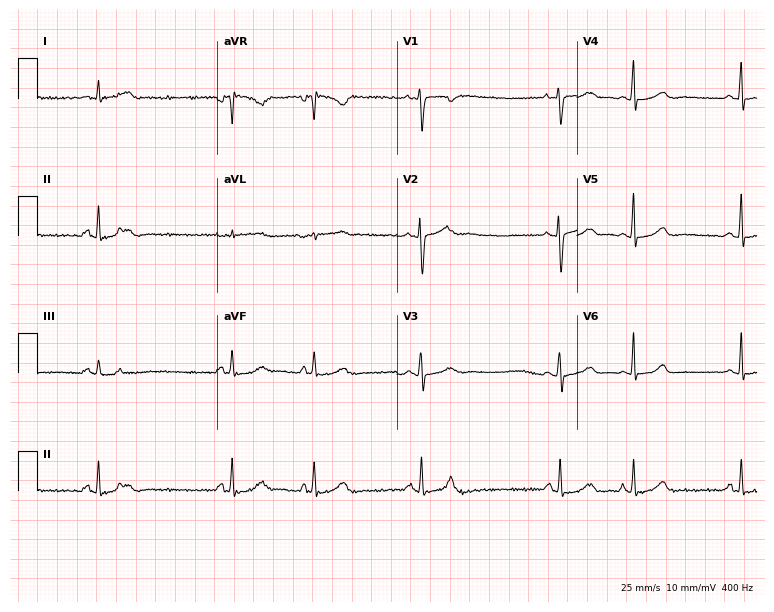
12-lead ECG (7.3-second recording at 400 Hz) from a female patient, 33 years old. Labelled as a normal ECG.